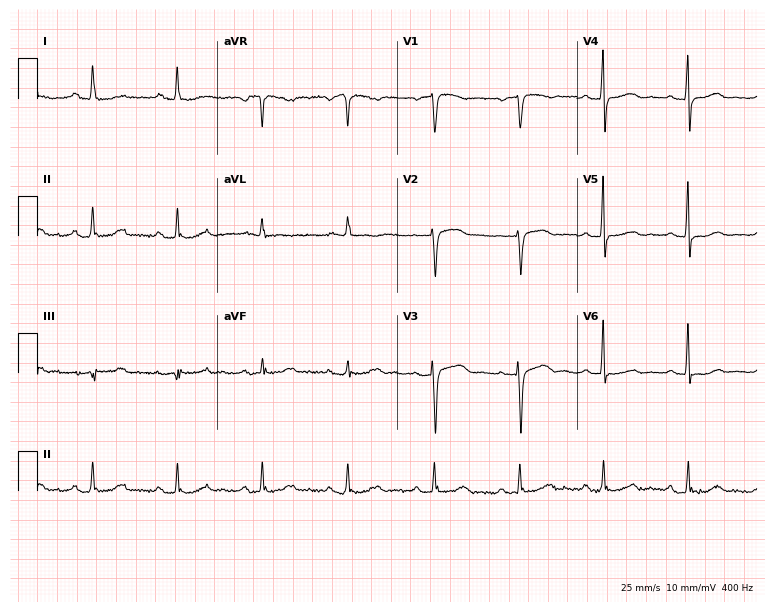
12-lead ECG (7.3-second recording at 400 Hz) from a woman, 63 years old. Screened for six findings — first-degree AV block, right bundle branch block, left bundle branch block, sinus bradycardia, atrial fibrillation, sinus tachycardia — none is recorded.